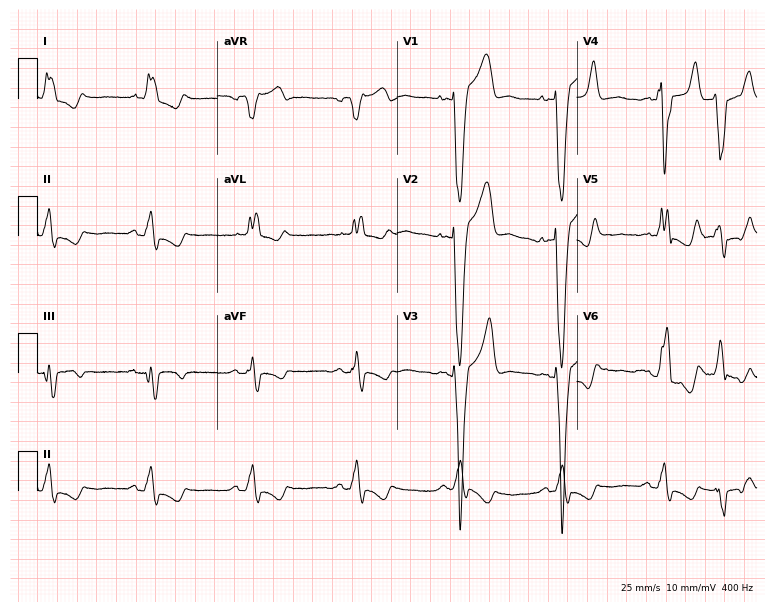
Resting 12-lead electrocardiogram. Patient: a man, 83 years old. The tracing shows left bundle branch block (LBBB).